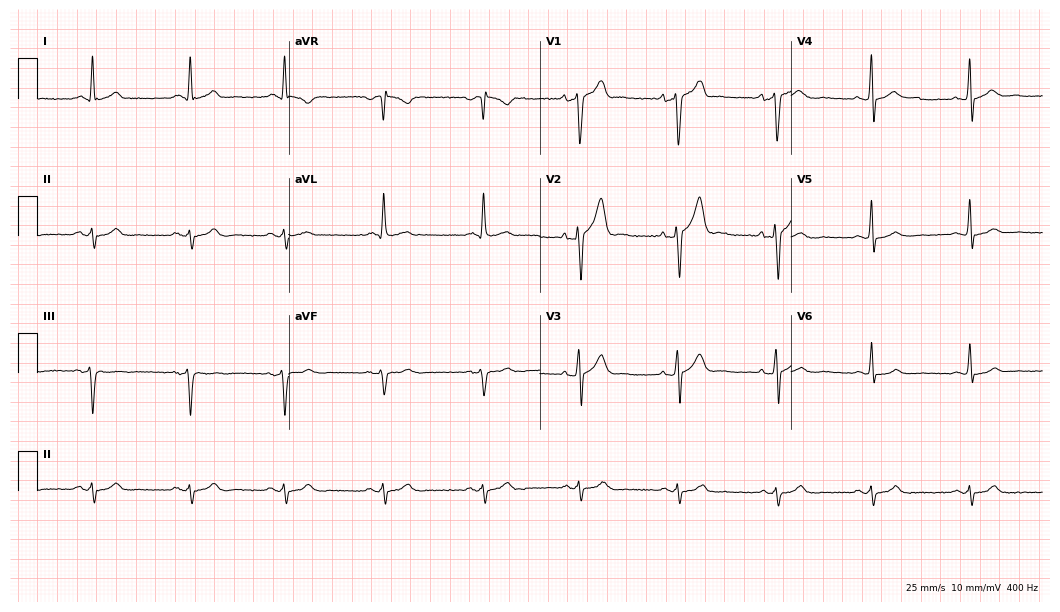
Electrocardiogram (10.2-second recording at 400 Hz), a man, 28 years old. Of the six screened findings (first-degree AV block, right bundle branch block, left bundle branch block, sinus bradycardia, atrial fibrillation, sinus tachycardia), none is recorded.